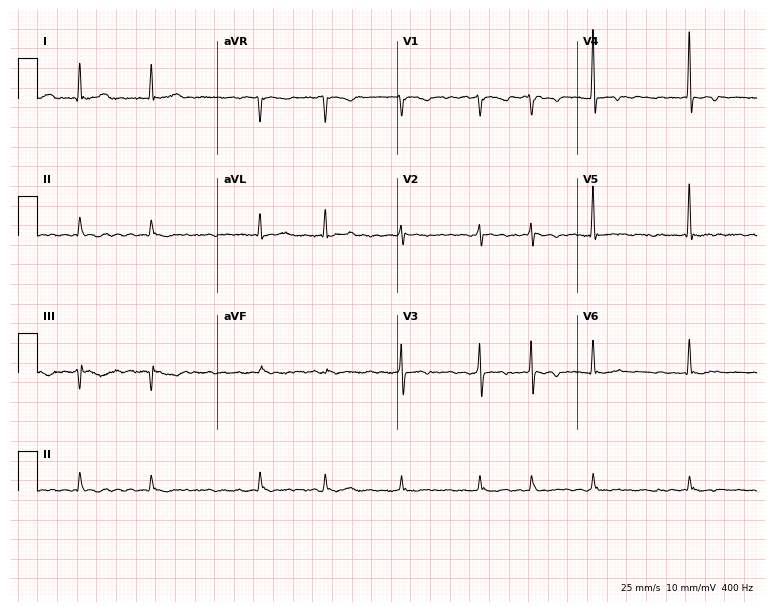
Electrocardiogram, a 74-year-old female patient. Interpretation includes atrial fibrillation.